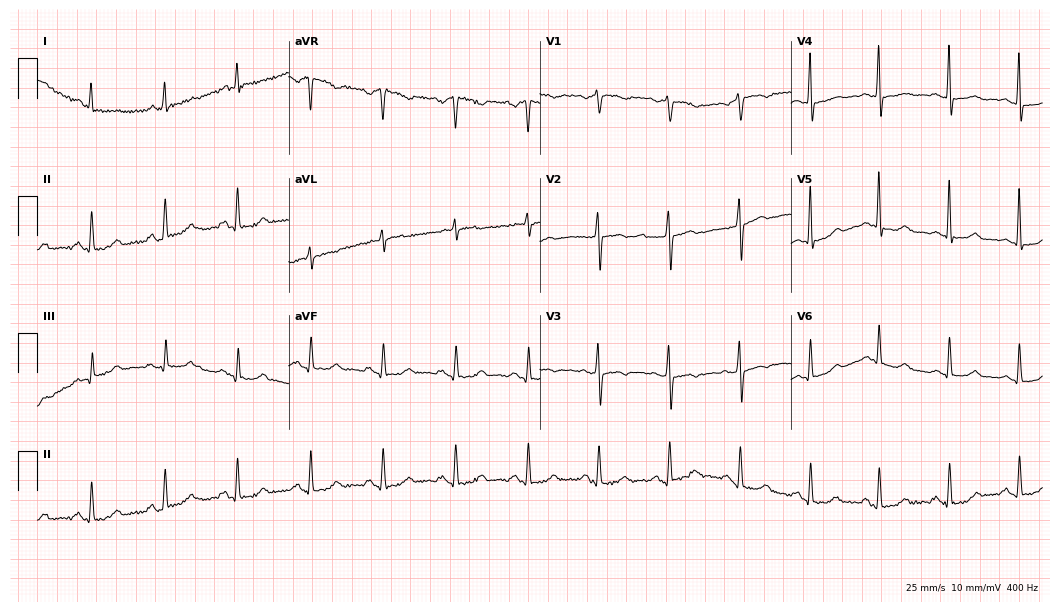
Electrocardiogram (10.2-second recording at 400 Hz), a female patient, 55 years old. Overall reading on record: normal ECG.